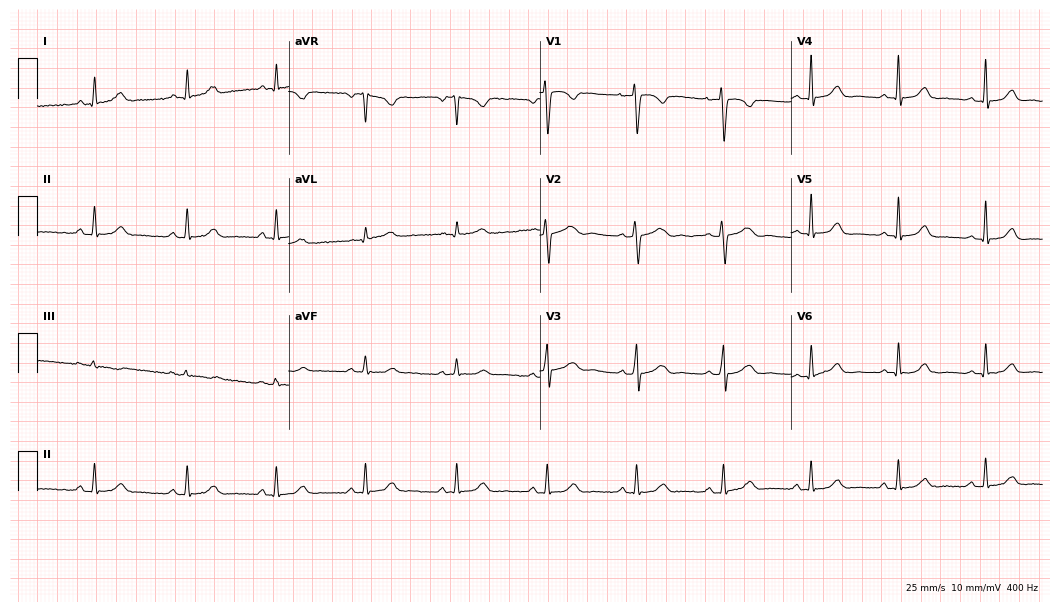
12-lead ECG from a female patient, 40 years old (10.2-second recording at 400 Hz). Recorded interpretation: within normal limits.